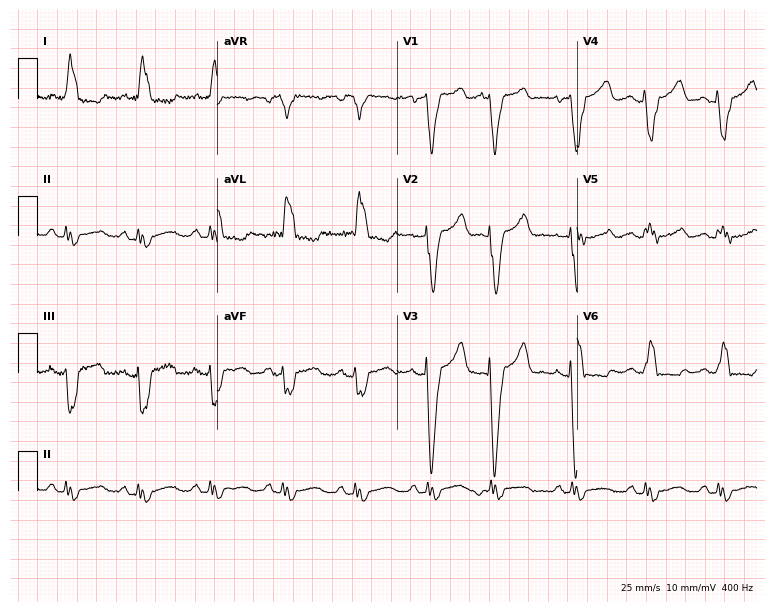
Standard 12-lead ECG recorded from a 53-year-old woman. The tracing shows left bundle branch block, sinus tachycardia (a sinus rate of 100 beats per minute or more).